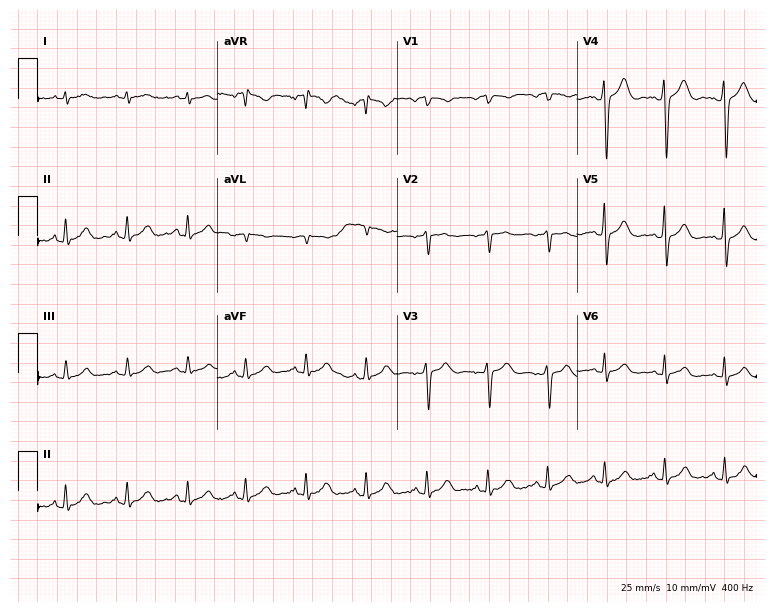
12-lead ECG (7.3-second recording at 400 Hz) from a 64-year-old male. Screened for six findings — first-degree AV block, right bundle branch block (RBBB), left bundle branch block (LBBB), sinus bradycardia, atrial fibrillation (AF), sinus tachycardia — none is recorded. Findings outside these six are not listed.